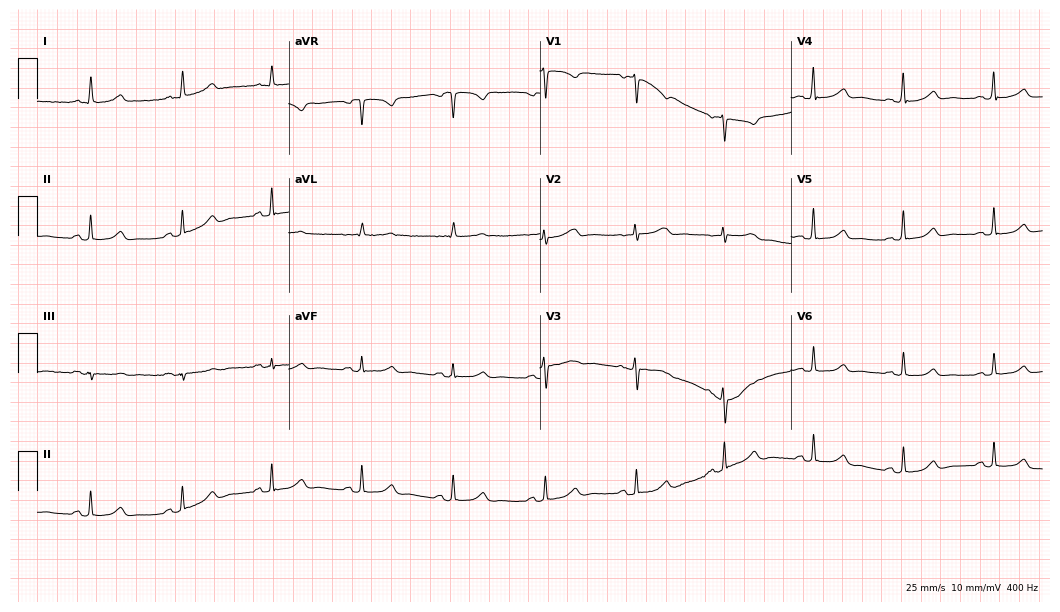
12-lead ECG from a female patient, 59 years old (10.2-second recording at 400 Hz). Recorded interpretation: within normal limits.